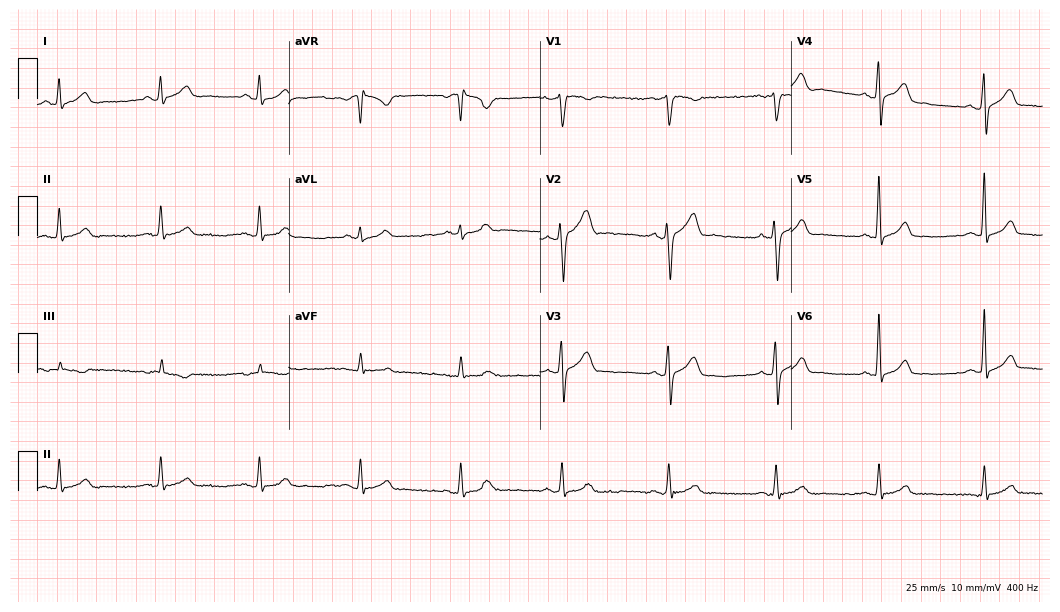
ECG — a male, 35 years old. Labelled as a normal ECG.